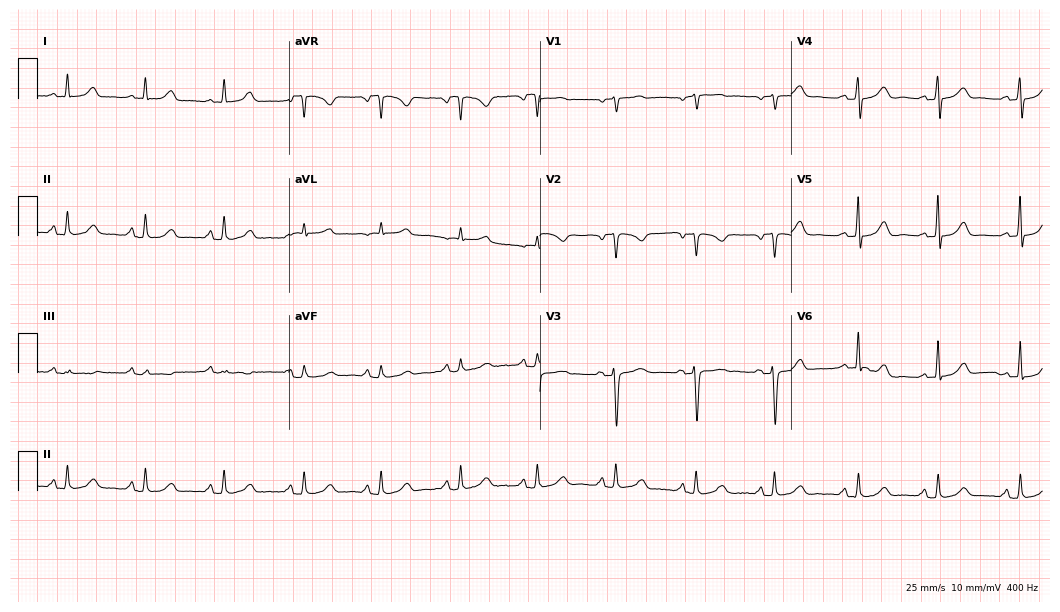
12-lead ECG from a 48-year-old woman. No first-degree AV block, right bundle branch block (RBBB), left bundle branch block (LBBB), sinus bradycardia, atrial fibrillation (AF) or sinus tachycardia recorded for this tracing. Findings outside these six are not listed.